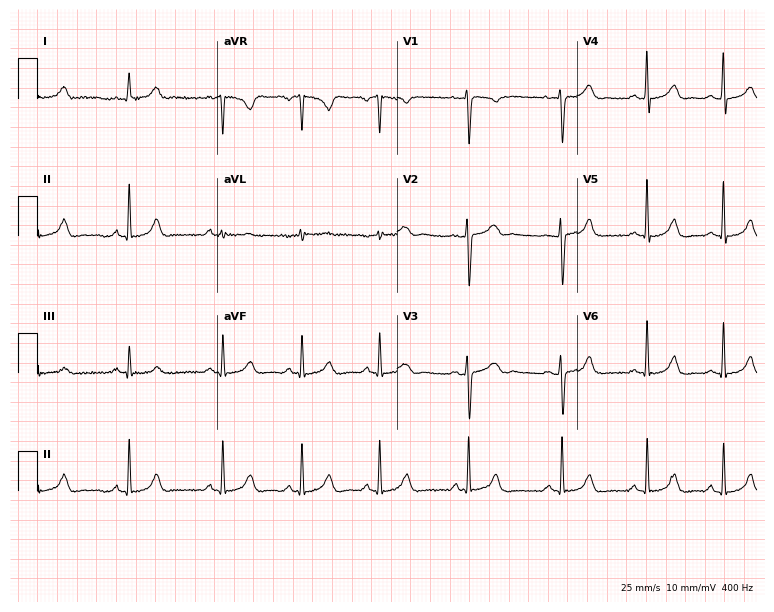
12-lead ECG (7.3-second recording at 400 Hz) from a female, 31 years old. Screened for six findings — first-degree AV block, right bundle branch block (RBBB), left bundle branch block (LBBB), sinus bradycardia, atrial fibrillation (AF), sinus tachycardia — none is recorded.